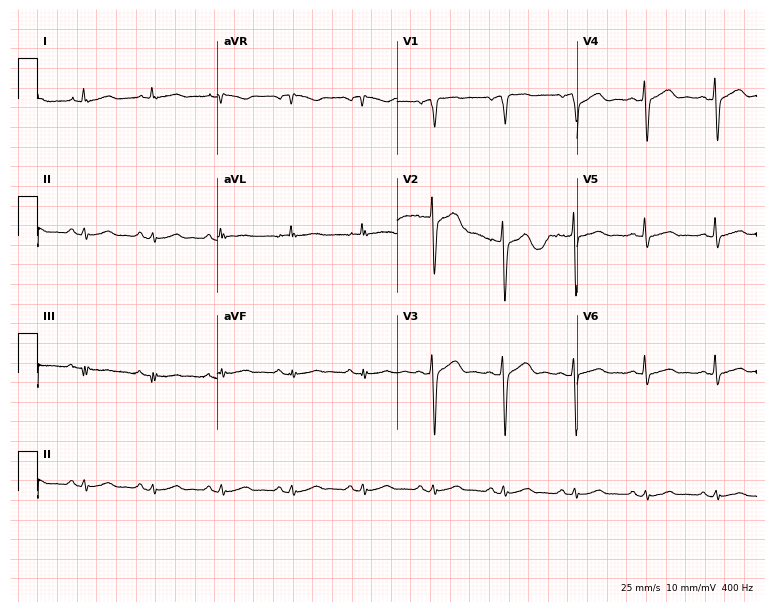
Resting 12-lead electrocardiogram. Patient: a 57-year-old man. Read as a normal ECG.